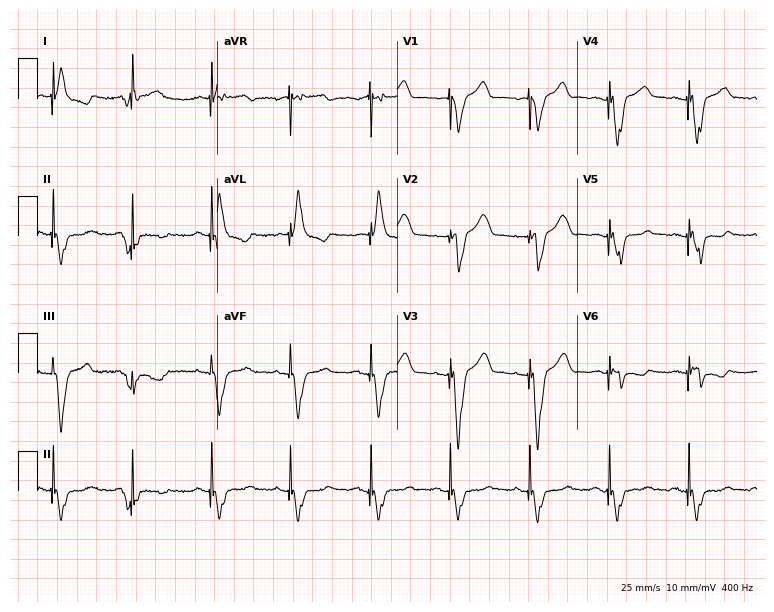
12-lead ECG from a male patient, 80 years old (7.3-second recording at 400 Hz). No first-degree AV block, right bundle branch block (RBBB), left bundle branch block (LBBB), sinus bradycardia, atrial fibrillation (AF) or sinus tachycardia recorded for this tracing.